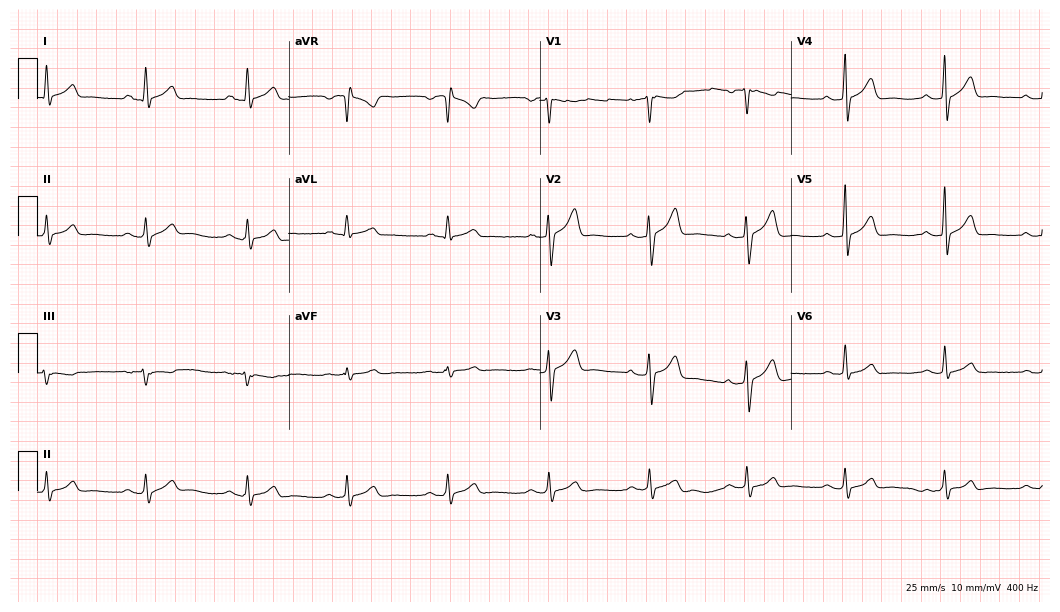
Resting 12-lead electrocardiogram (10.2-second recording at 400 Hz). Patient: a 47-year-old male. Read as a normal ECG.